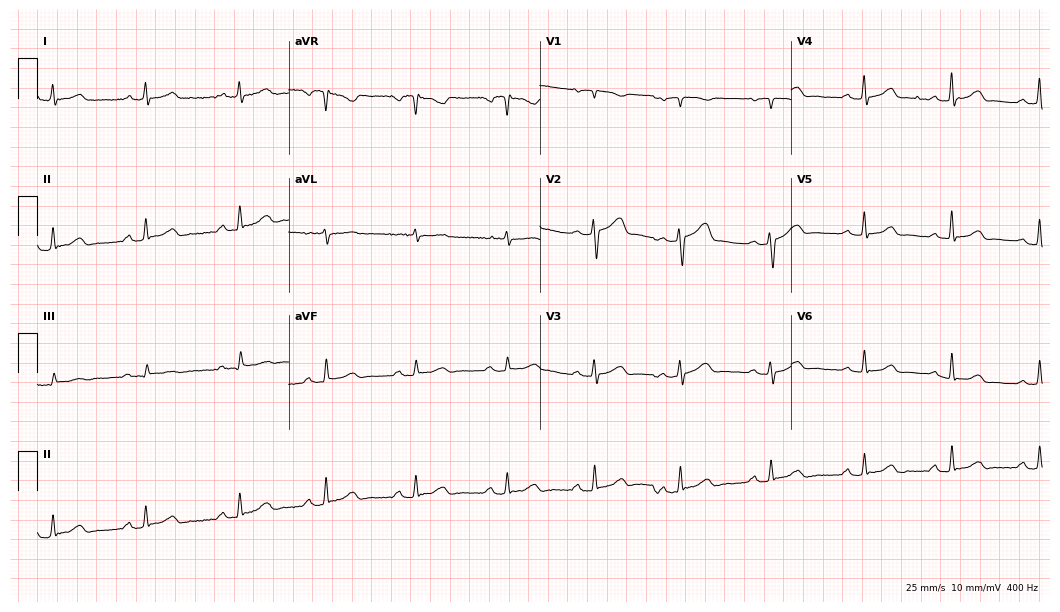
12-lead ECG (10.2-second recording at 400 Hz) from a female patient, 46 years old. Labelled as a normal ECG.